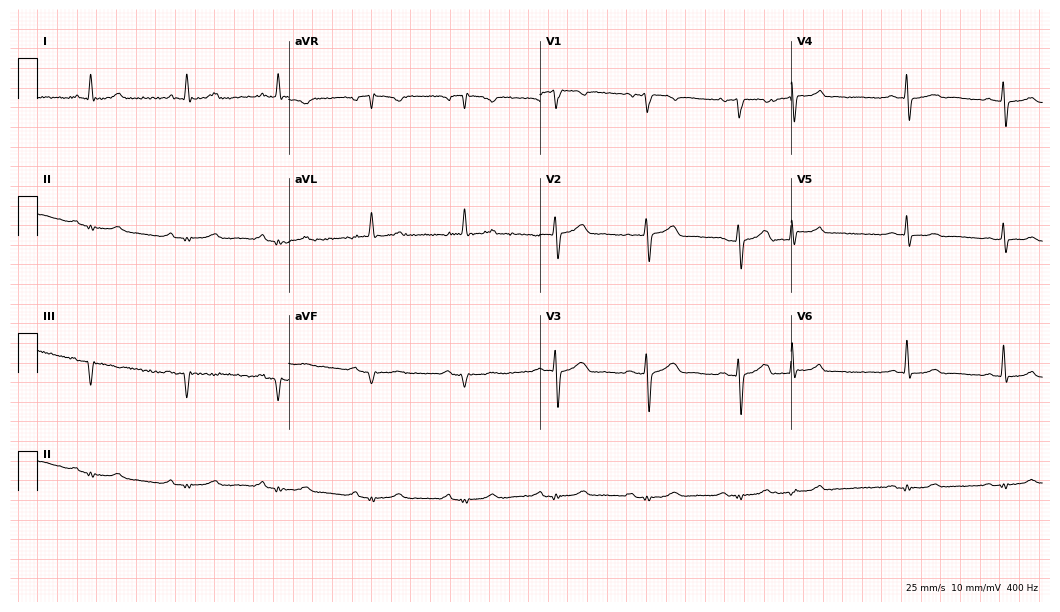
ECG (10.2-second recording at 400 Hz) — a male, 84 years old. Screened for six findings — first-degree AV block, right bundle branch block, left bundle branch block, sinus bradycardia, atrial fibrillation, sinus tachycardia — none is recorded. Other findings, if any, are not listed.